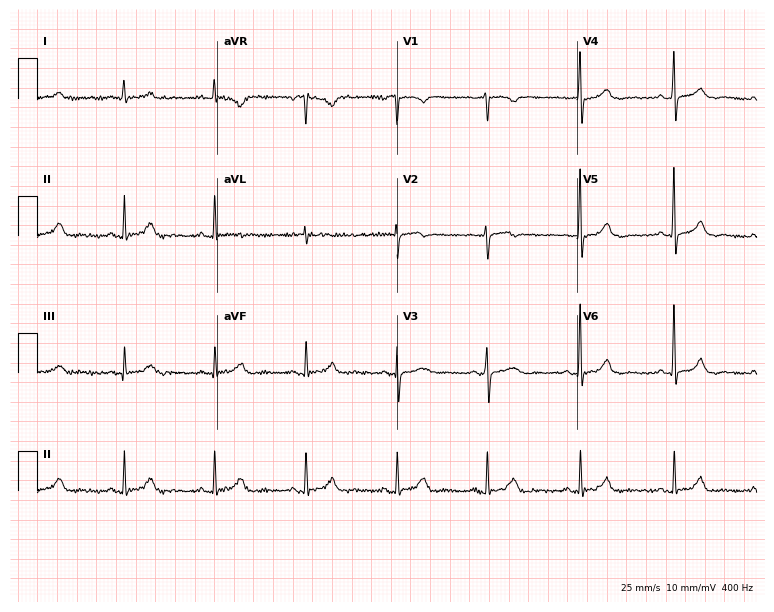
12-lead ECG from a female, 59 years old. Recorded interpretation: within normal limits.